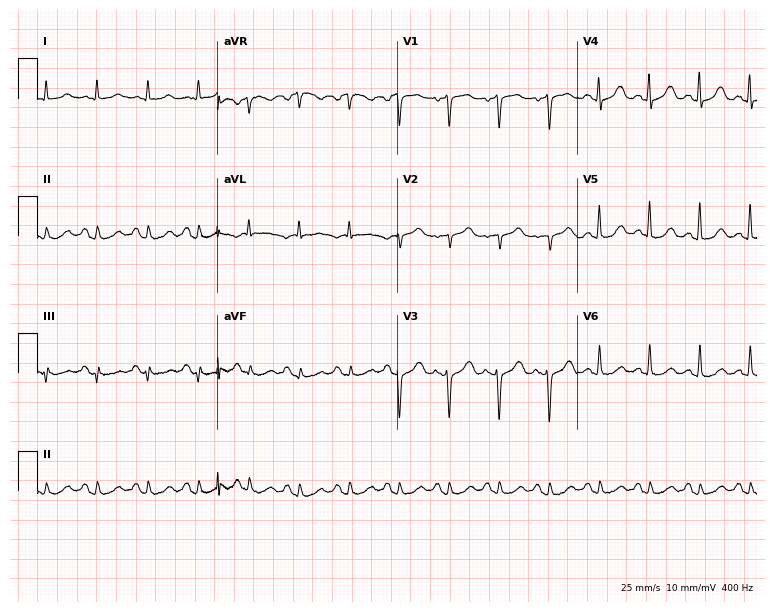
12-lead ECG (7.3-second recording at 400 Hz) from a female patient, 80 years old. Findings include sinus tachycardia (a sinus rate of 100 beats per minute or more).